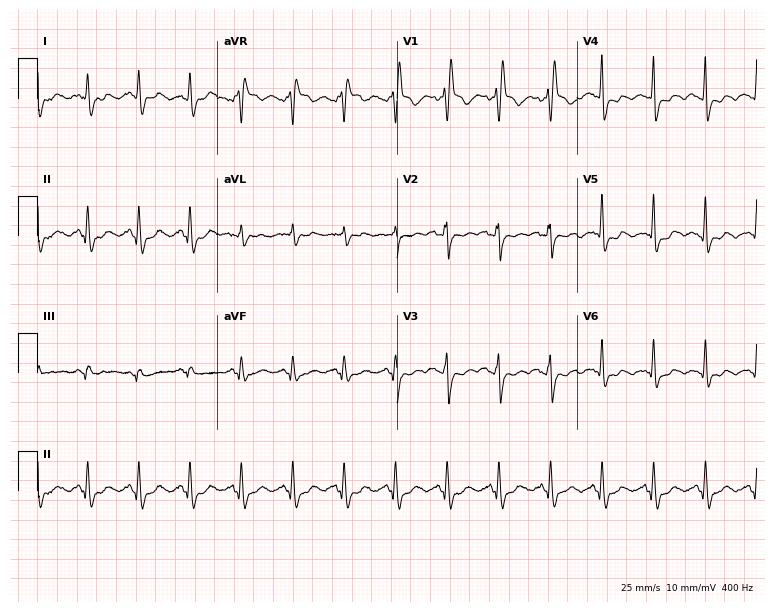
12-lead ECG from a woman, 43 years old (7.3-second recording at 400 Hz). No first-degree AV block, right bundle branch block (RBBB), left bundle branch block (LBBB), sinus bradycardia, atrial fibrillation (AF) or sinus tachycardia recorded for this tracing.